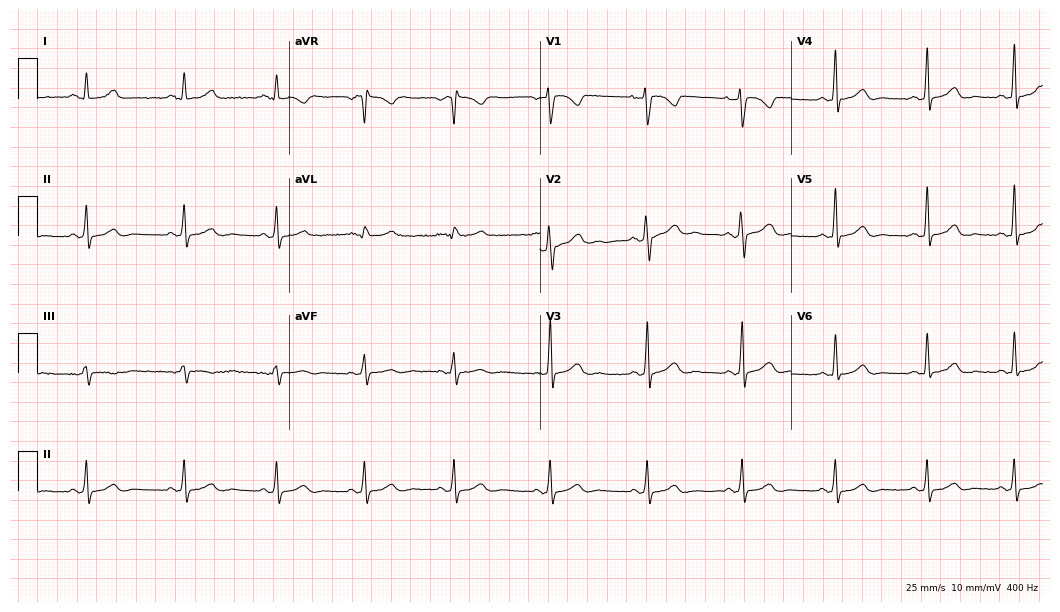
Standard 12-lead ECG recorded from a woman, 33 years old. Read as a normal ECG.